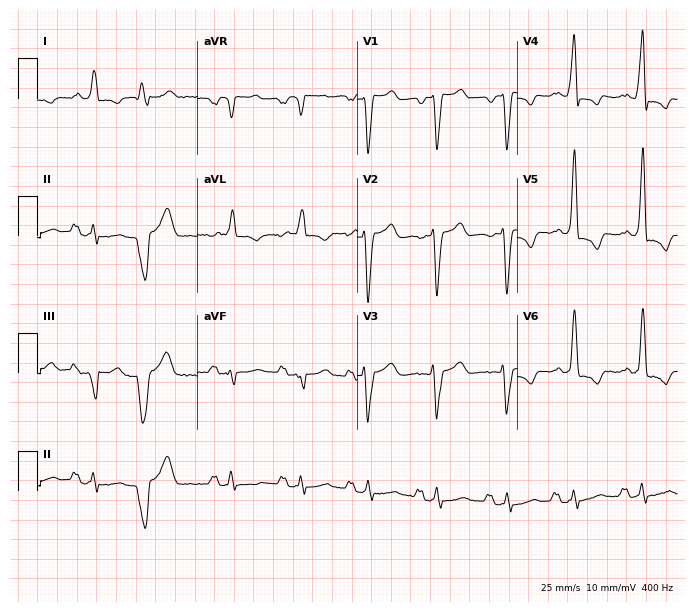
ECG (6.5-second recording at 400 Hz) — a 58-year-old man. Findings include left bundle branch block (LBBB).